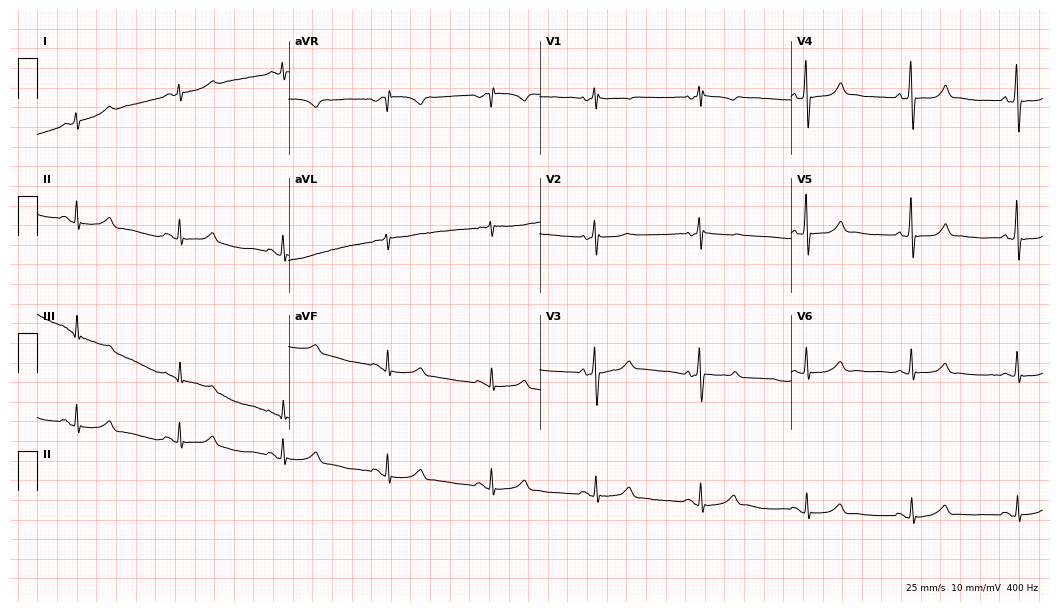
Standard 12-lead ECG recorded from a female patient, 85 years old. Read as a normal ECG.